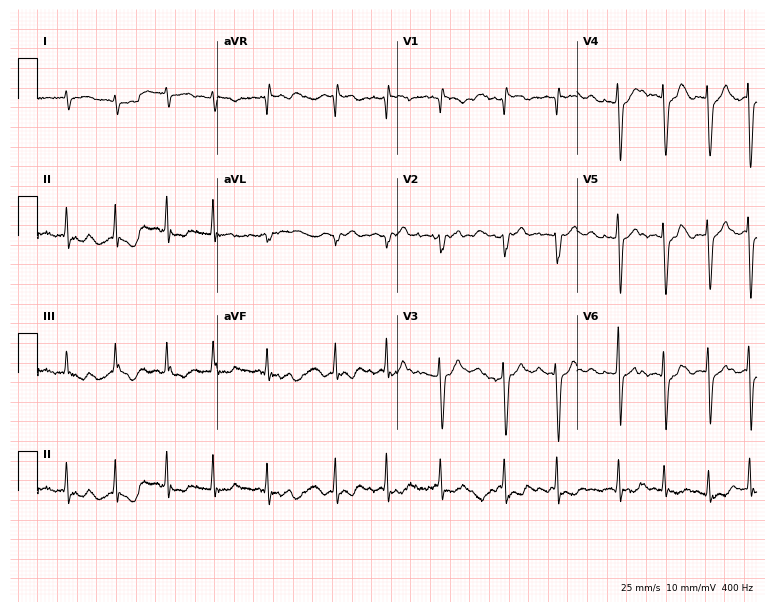
Standard 12-lead ECG recorded from a man, 76 years old (7.3-second recording at 400 Hz). The tracing shows atrial fibrillation (AF).